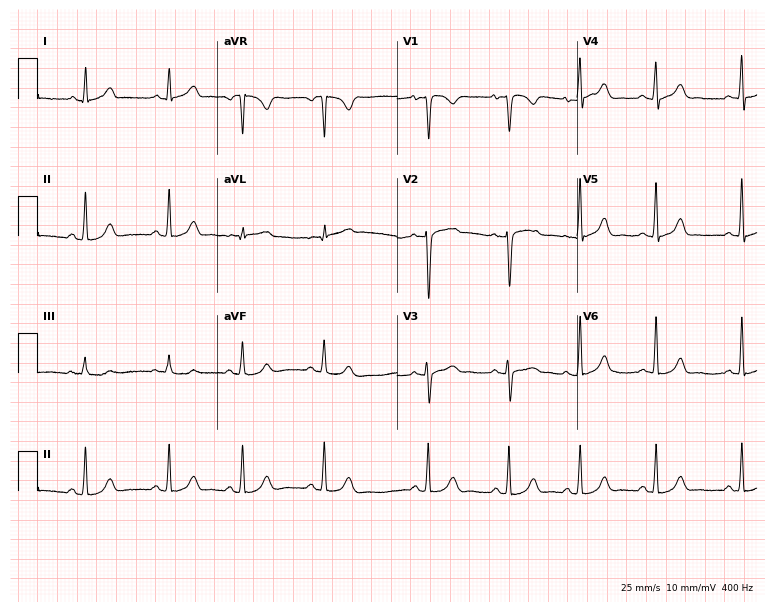
Standard 12-lead ECG recorded from a 19-year-old female. None of these six findings is recorded: first-degree AV block, right bundle branch block, left bundle branch block, sinus bradycardia, atrial fibrillation, sinus tachycardia.